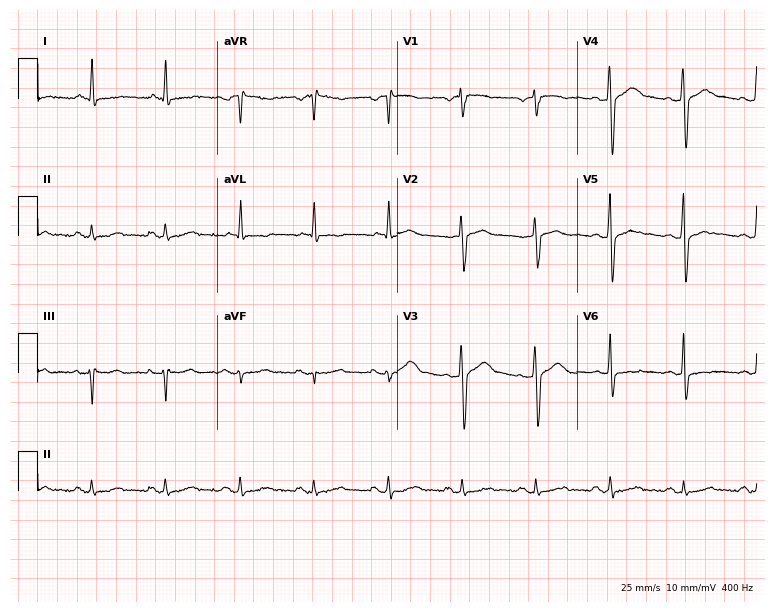
Resting 12-lead electrocardiogram (7.3-second recording at 400 Hz). Patient: a man, 51 years old. None of these six findings is recorded: first-degree AV block, right bundle branch block, left bundle branch block, sinus bradycardia, atrial fibrillation, sinus tachycardia. Findings outside these six are not listed.